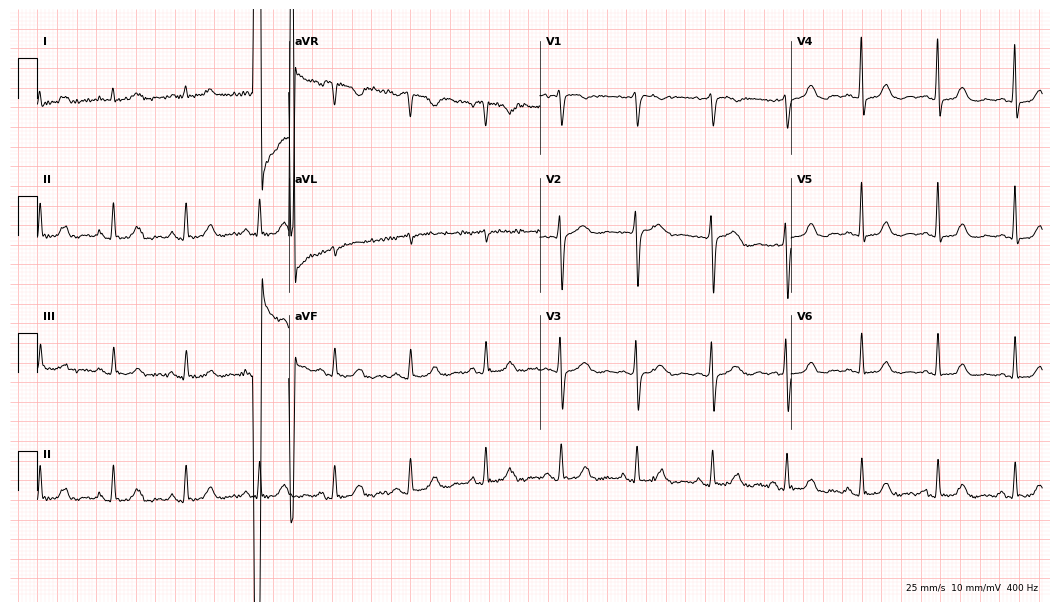
12-lead ECG from a 59-year-old female patient (10.2-second recording at 400 Hz). Recorded interpretation: within normal limits.